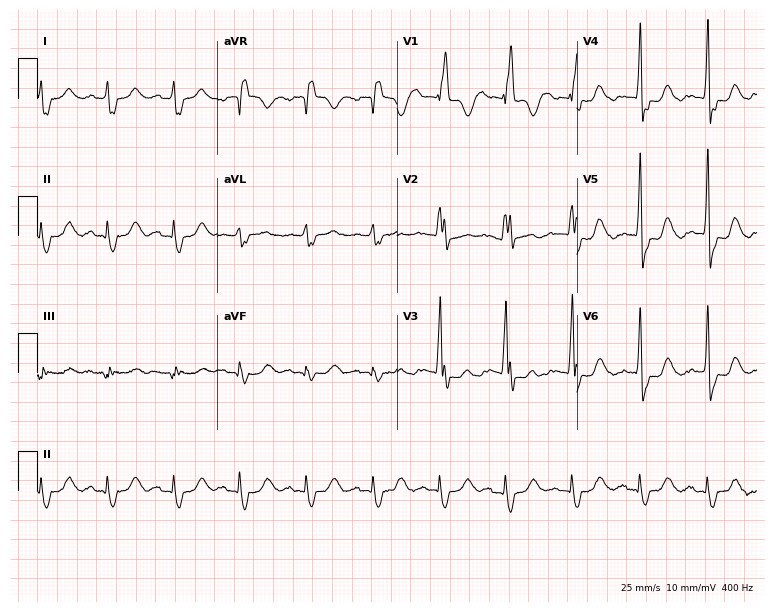
12-lead ECG (7.3-second recording at 400 Hz) from a man, 71 years old. Findings include right bundle branch block.